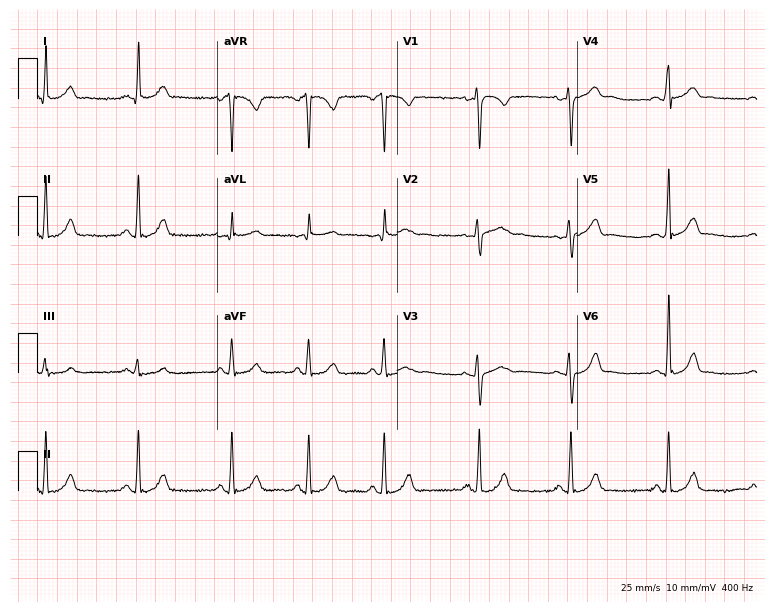
Electrocardiogram, a female patient, 17 years old. Overall reading on record: normal ECG.